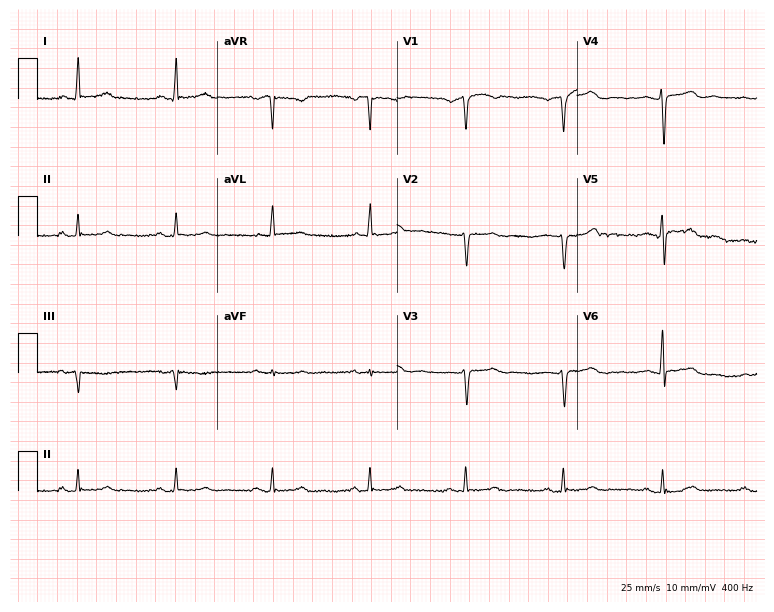
Standard 12-lead ECG recorded from a man, 58 years old (7.3-second recording at 400 Hz). None of these six findings is recorded: first-degree AV block, right bundle branch block, left bundle branch block, sinus bradycardia, atrial fibrillation, sinus tachycardia. Other findings, if any, are not listed.